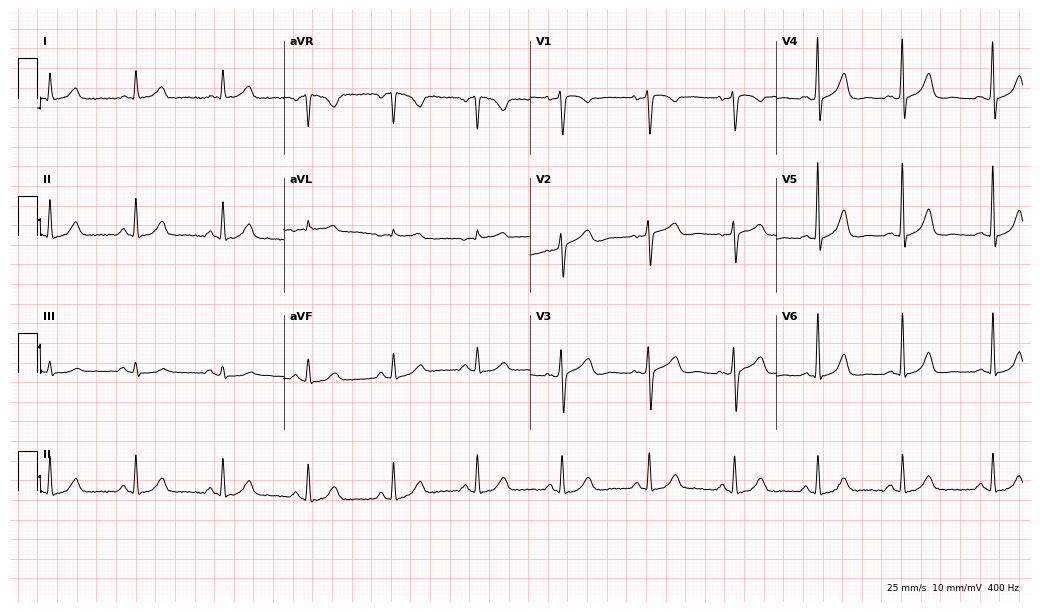
12-lead ECG from a female, 53 years old. Screened for six findings — first-degree AV block, right bundle branch block, left bundle branch block, sinus bradycardia, atrial fibrillation, sinus tachycardia — none is recorded. Only these six findings were labelled.